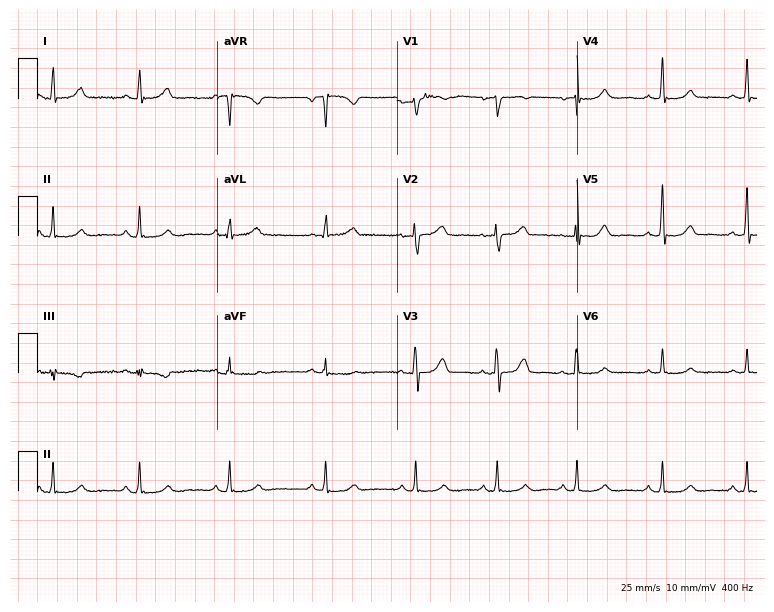
Electrocardiogram (7.3-second recording at 400 Hz), a 49-year-old female. Overall reading on record: normal ECG.